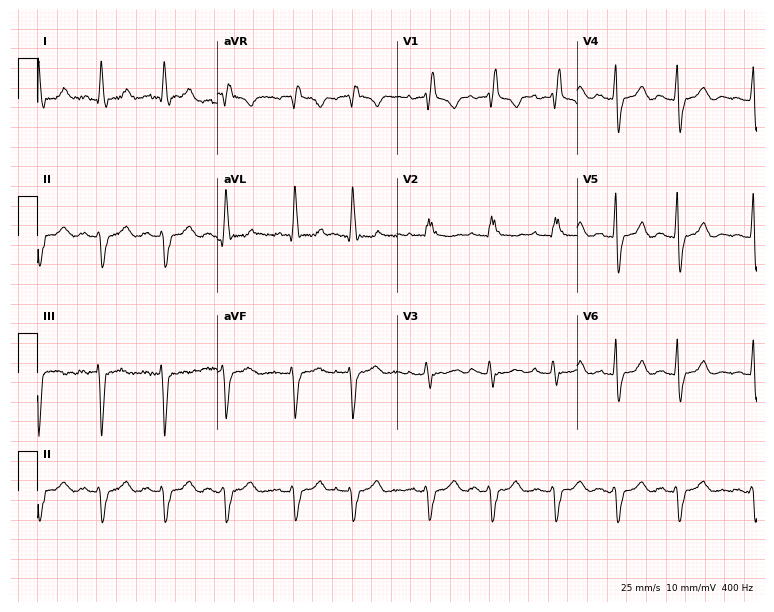
Standard 12-lead ECG recorded from a 65-year-old woman. The tracing shows right bundle branch block.